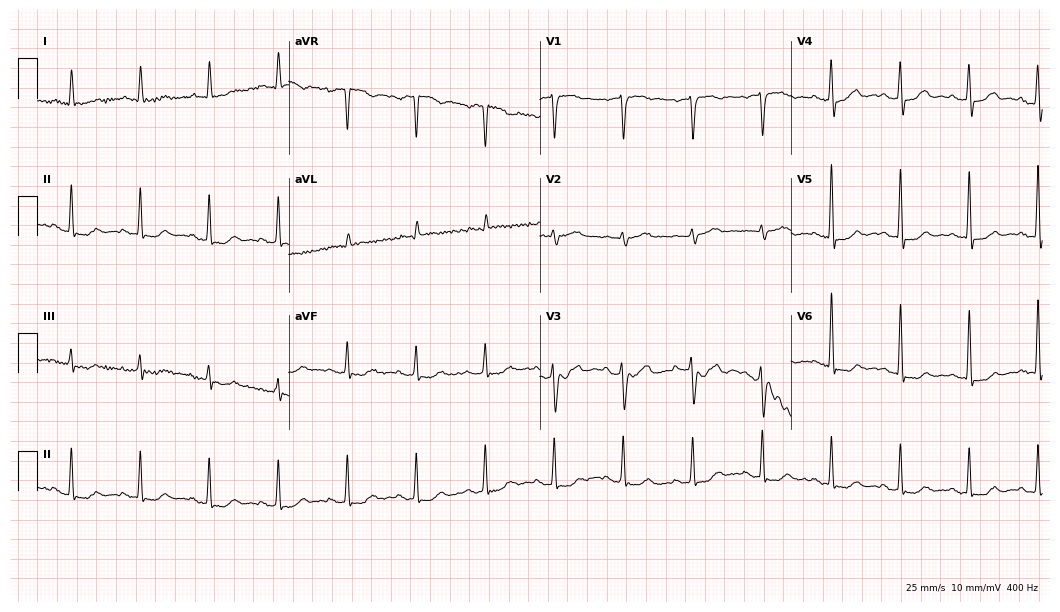
ECG — a male, 71 years old. Screened for six findings — first-degree AV block, right bundle branch block (RBBB), left bundle branch block (LBBB), sinus bradycardia, atrial fibrillation (AF), sinus tachycardia — none is recorded.